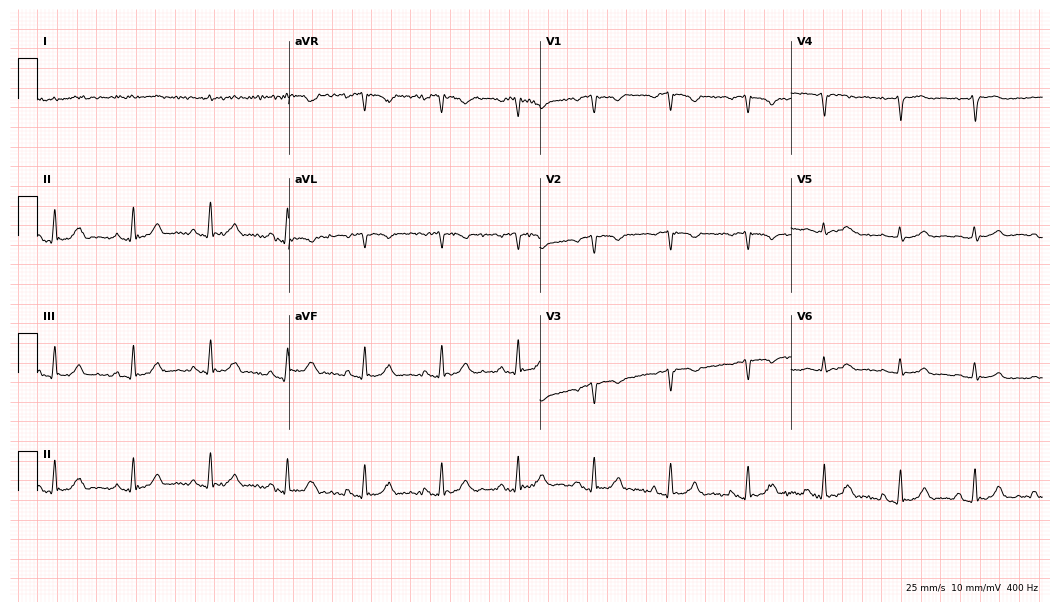
Standard 12-lead ECG recorded from a 60-year-old male patient (10.2-second recording at 400 Hz). None of these six findings is recorded: first-degree AV block, right bundle branch block, left bundle branch block, sinus bradycardia, atrial fibrillation, sinus tachycardia.